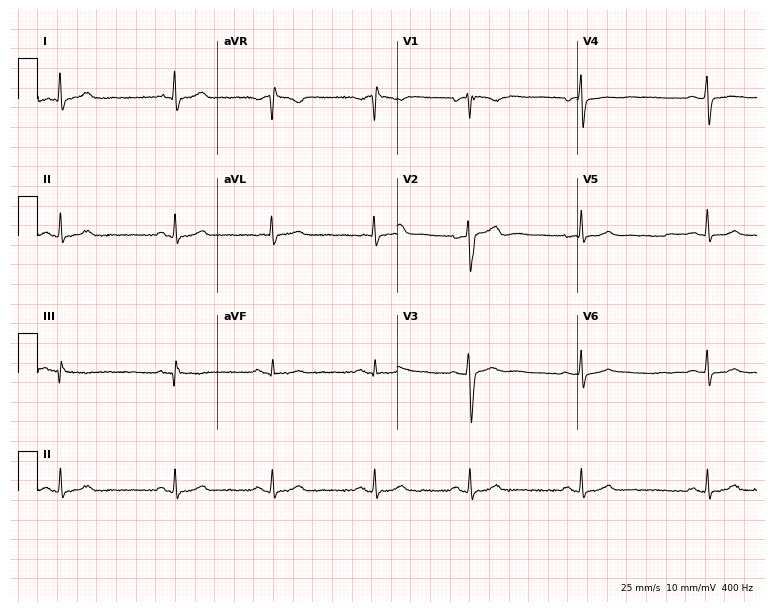
ECG — a 40-year-old man. Labelled as a normal ECG.